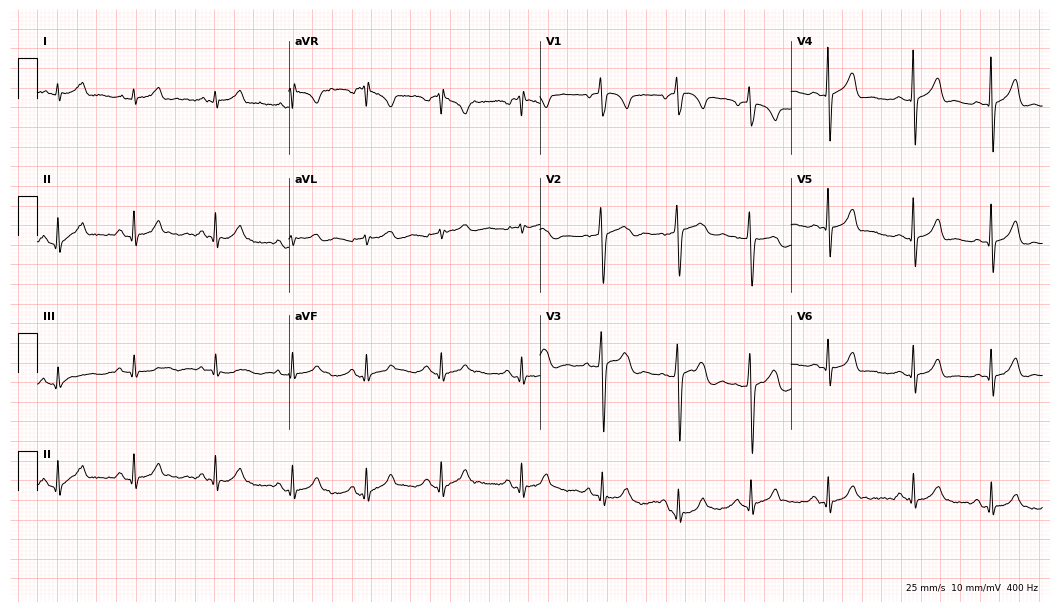
12-lead ECG (10.2-second recording at 400 Hz) from an 18-year-old male. Screened for six findings — first-degree AV block, right bundle branch block (RBBB), left bundle branch block (LBBB), sinus bradycardia, atrial fibrillation (AF), sinus tachycardia — none is recorded. Findings outside these six are not listed.